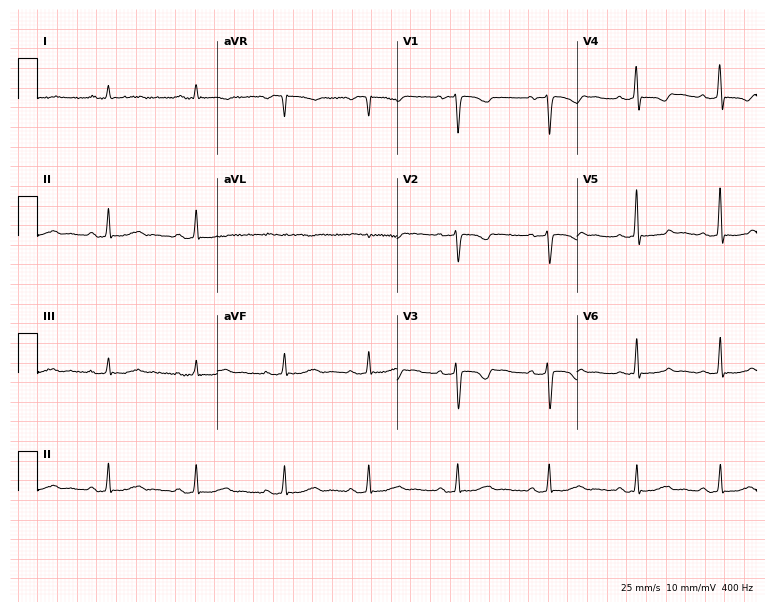
12-lead ECG (7.3-second recording at 400 Hz) from an 18-year-old woman. Screened for six findings — first-degree AV block, right bundle branch block, left bundle branch block, sinus bradycardia, atrial fibrillation, sinus tachycardia — none is recorded.